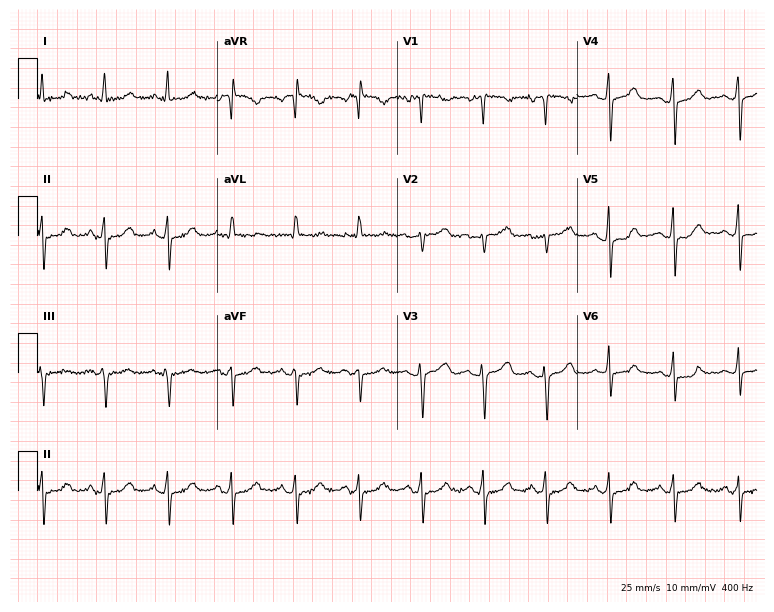
12-lead ECG from a 52-year-old female. Screened for six findings — first-degree AV block, right bundle branch block (RBBB), left bundle branch block (LBBB), sinus bradycardia, atrial fibrillation (AF), sinus tachycardia — none is recorded. Other findings, if any, are not listed.